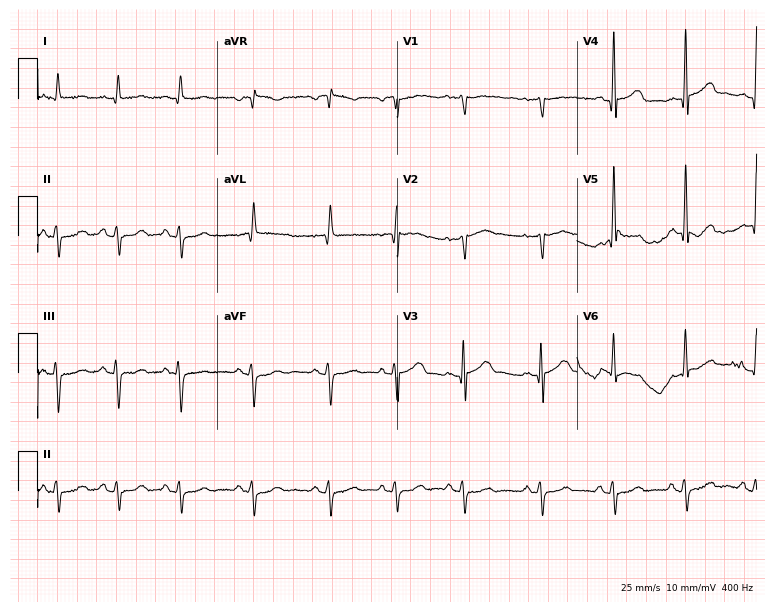
12-lead ECG from an 83-year-old male. No first-degree AV block, right bundle branch block, left bundle branch block, sinus bradycardia, atrial fibrillation or sinus tachycardia recorded for this tracing. Other findings, if any, are not listed.